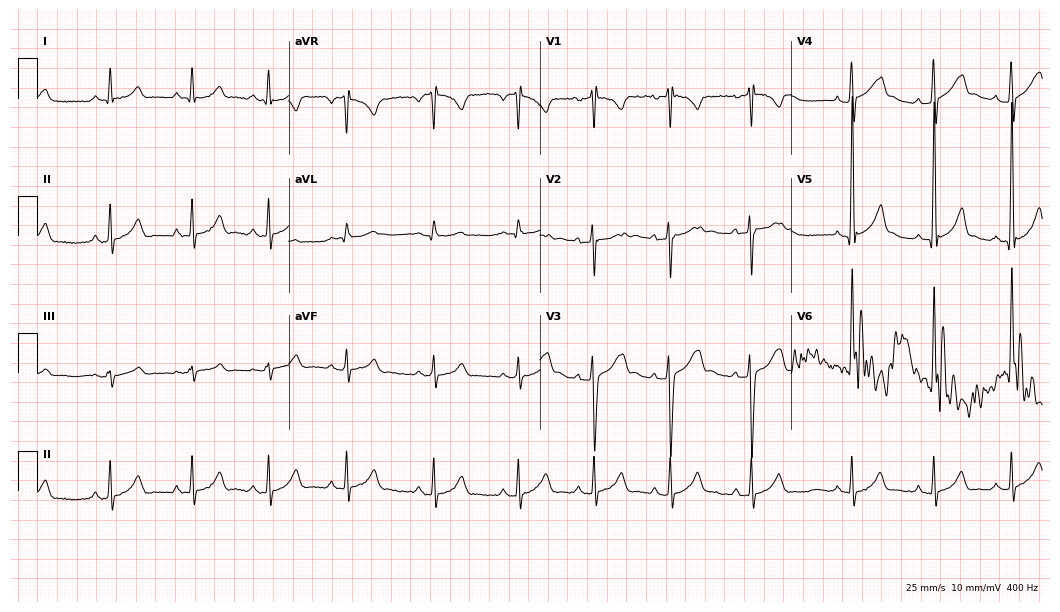
ECG — a 17-year-old male. Labelled as a normal ECG.